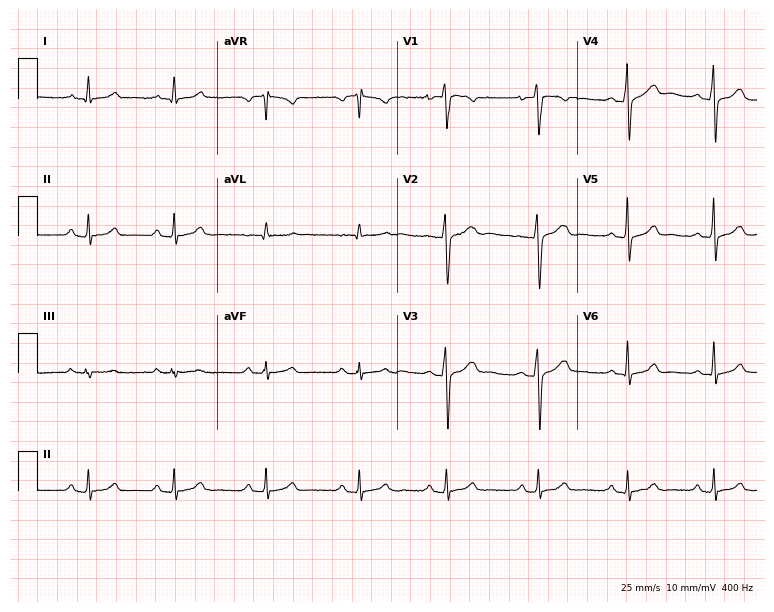
ECG (7.3-second recording at 400 Hz) — a 20-year-old female patient. Labelled as a normal ECG.